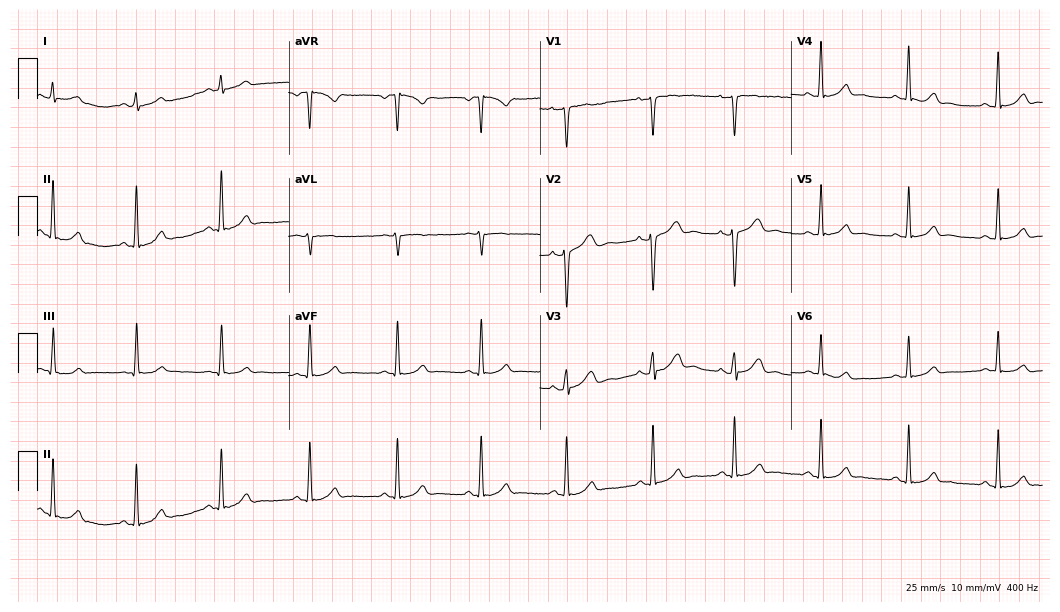
12-lead ECG from a 43-year-old female. Recorded interpretation: within normal limits.